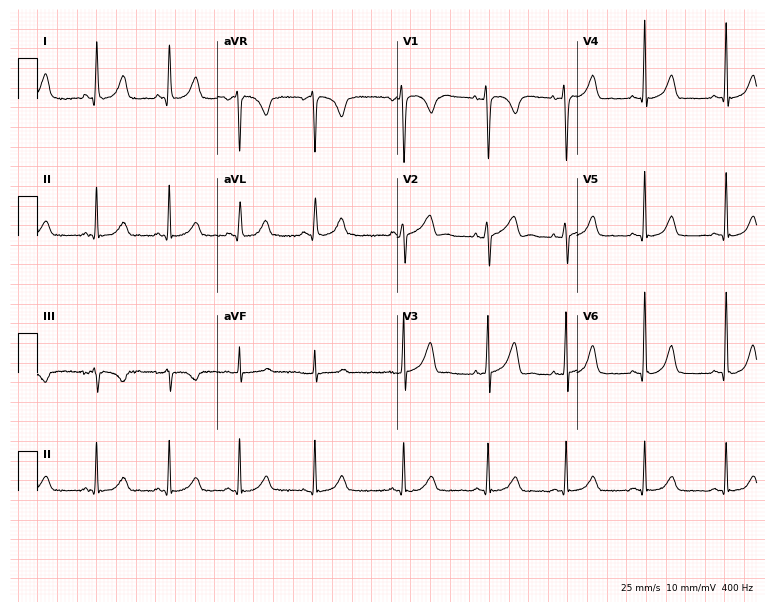
Electrocardiogram (7.3-second recording at 400 Hz), a female, 25 years old. Overall reading on record: normal ECG.